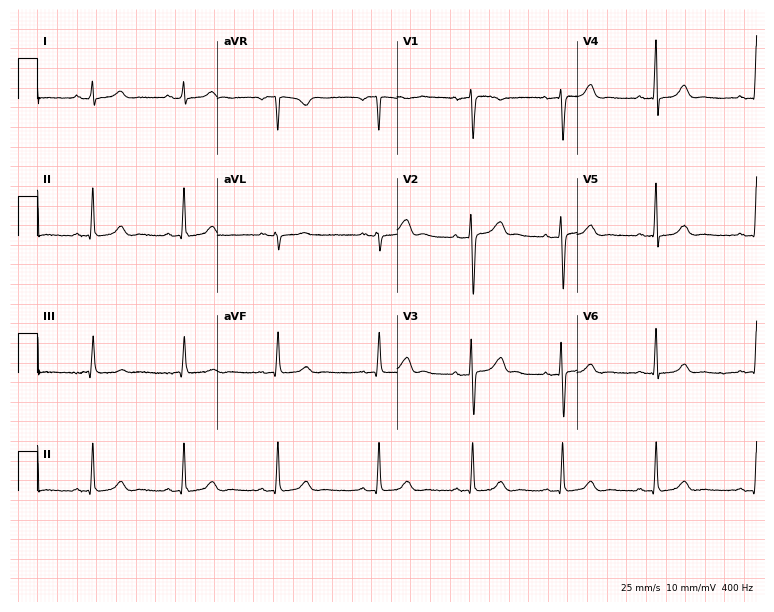
Standard 12-lead ECG recorded from a 37-year-old female (7.3-second recording at 400 Hz). Read as a normal ECG.